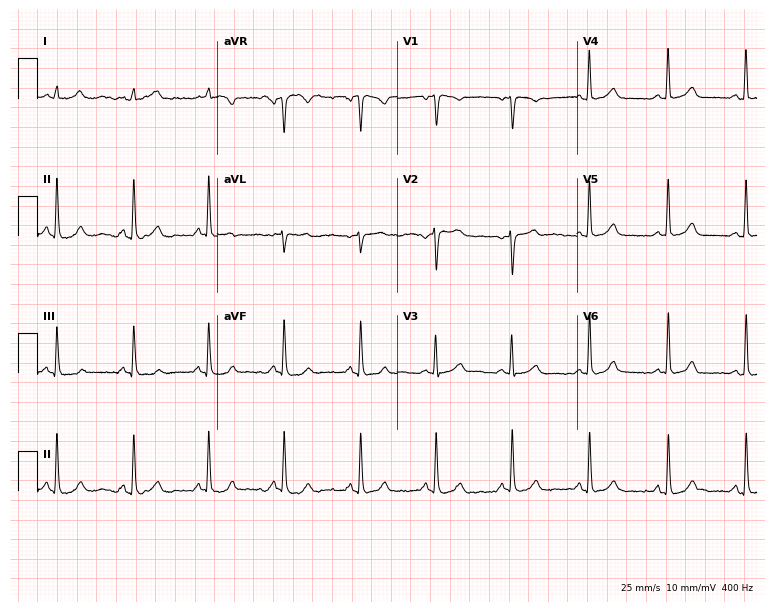
Electrocardiogram, a 34-year-old woman. Overall reading on record: normal ECG.